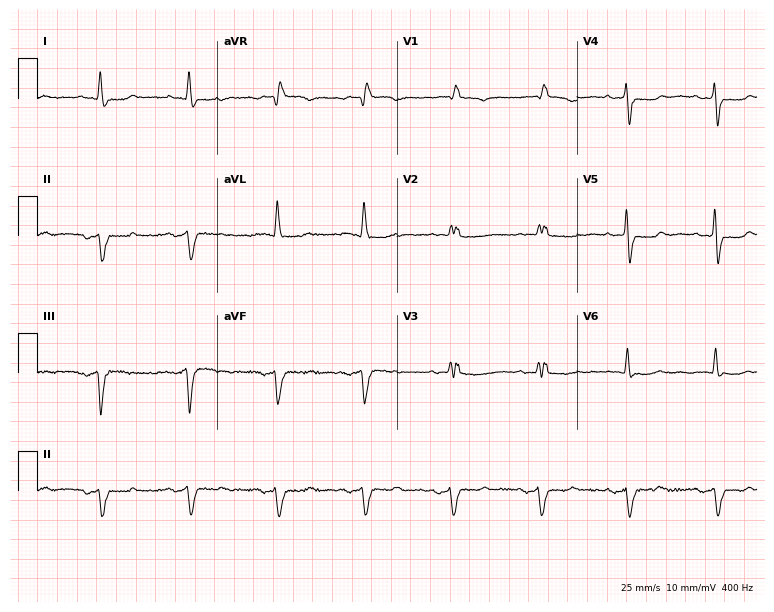
12-lead ECG from an 85-year-old woman. Findings include right bundle branch block (RBBB).